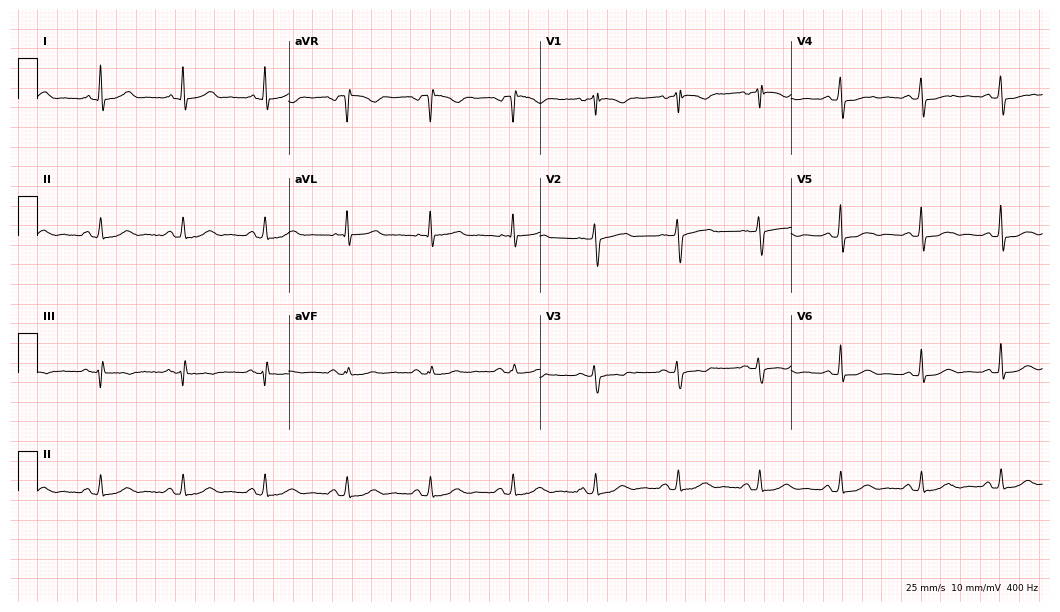
Resting 12-lead electrocardiogram (10.2-second recording at 400 Hz). Patient: a female, 70 years old. None of these six findings is recorded: first-degree AV block, right bundle branch block, left bundle branch block, sinus bradycardia, atrial fibrillation, sinus tachycardia.